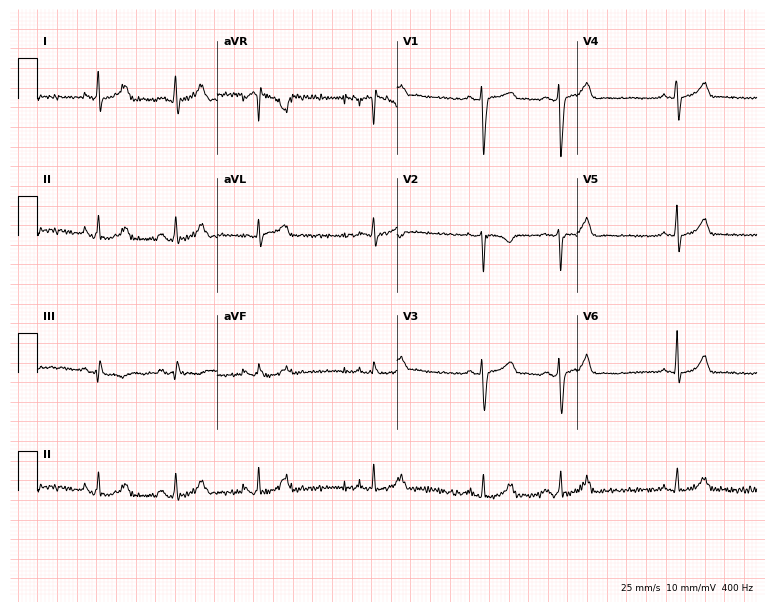
Standard 12-lead ECG recorded from a female, 20 years old. Read as a normal ECG.